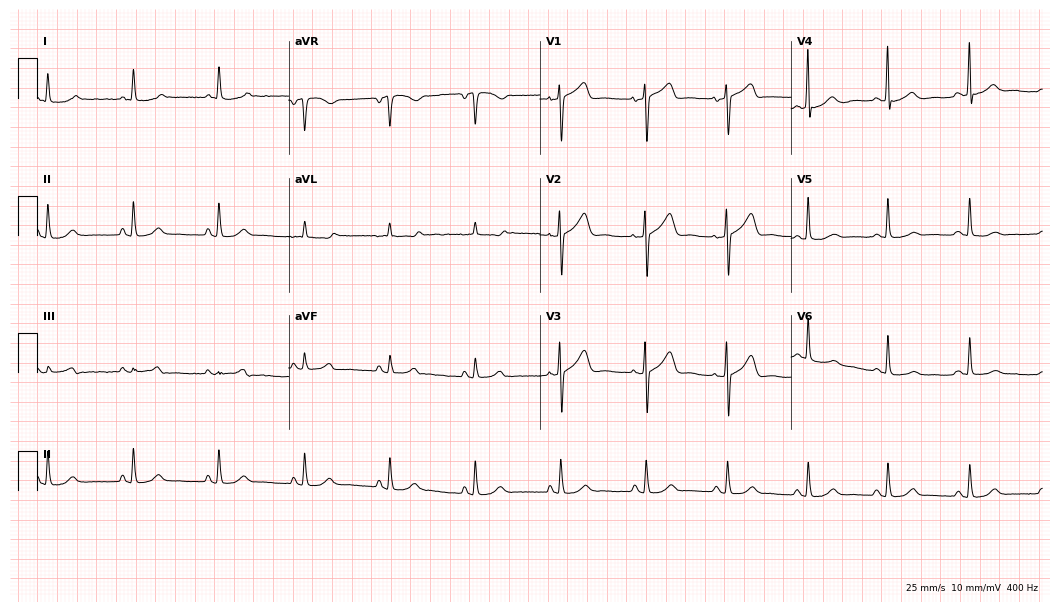
12-lead ECG from a female, 63 years old. Recorded interpretation: within normal limits.